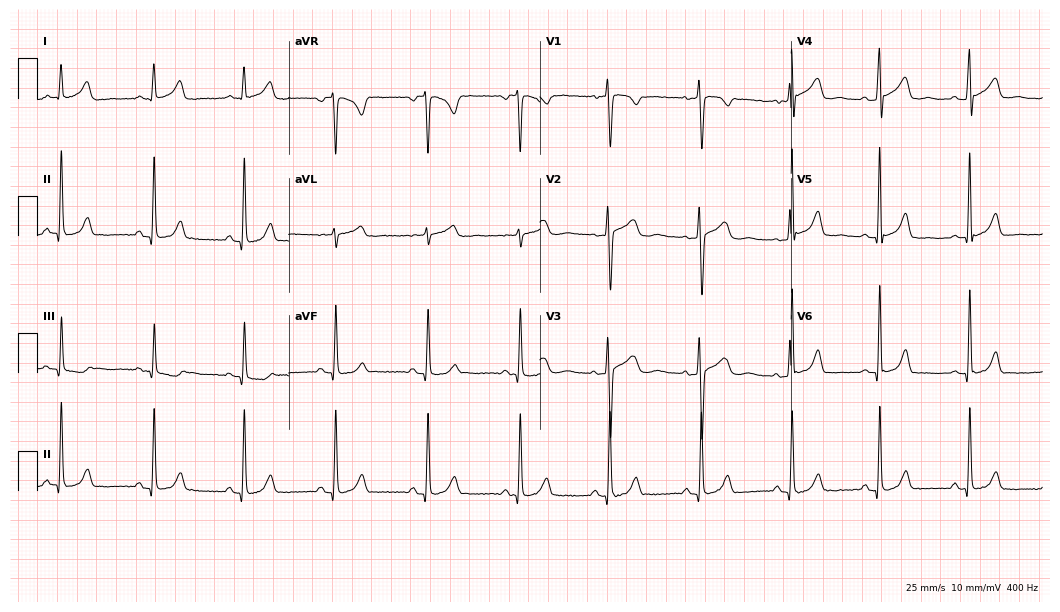
Electrocardiogram, a 36-year-old female patient. Of the six screened findings (first-degree AV block, right bundle branch block, left bundle branch block, sinus bradycardia, atrial fibrillation, sinus tachycardia), none is recorded. Findings outside these six are not listed.